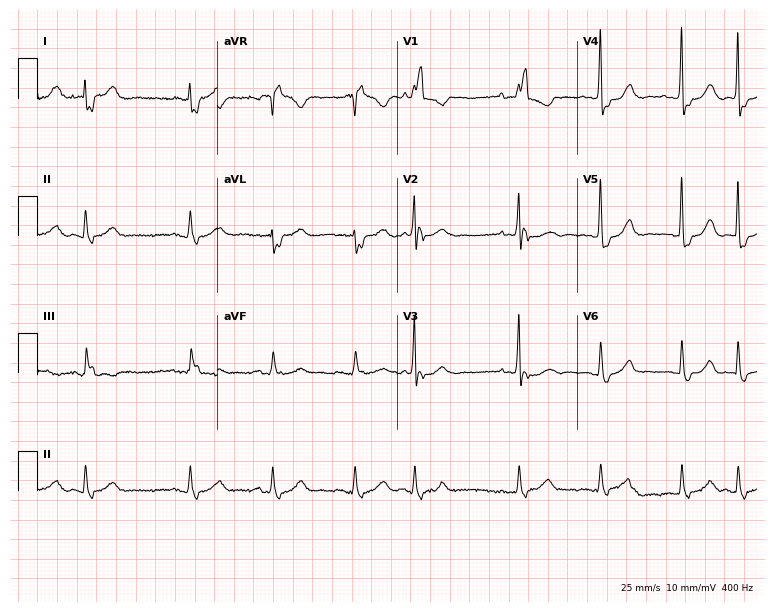
ECG (7.3-second recording at 400 Hz) — a female, 85 years old. Findings include right bundle branch block (RBBB).